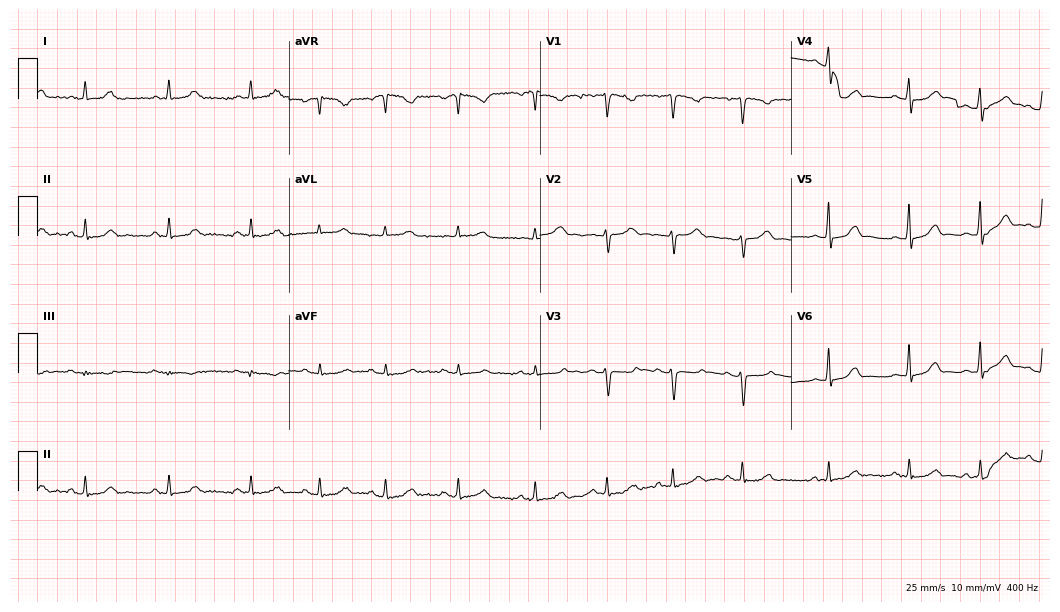
Standard 12-lead ECG recorded from a 26-year-old woman (10.2-second recording at 400 Hz). None of these six findings is recorded: first-degree AV block, right bundle branch block, left bundle branch block, sinus bradycardia, atrial fibrillation, sinus tachycardia.